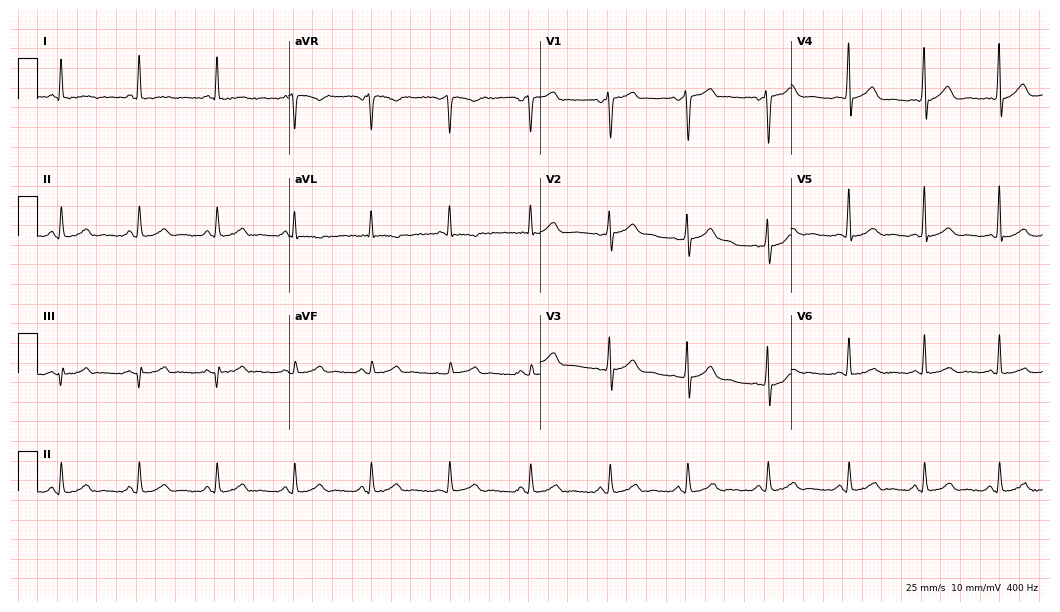
Electrocardiogram (10.2-second recording at 400 Hz), a male patient, 44 years old. Of the six screened findings (first-degree AV block, right bundle branch block (RBBB), left bundle branch block (LBBB), sinus bradycardia, atrial fibrillation (AF), sinus tachycardia), none is recorded. Only these six findings were labelled.